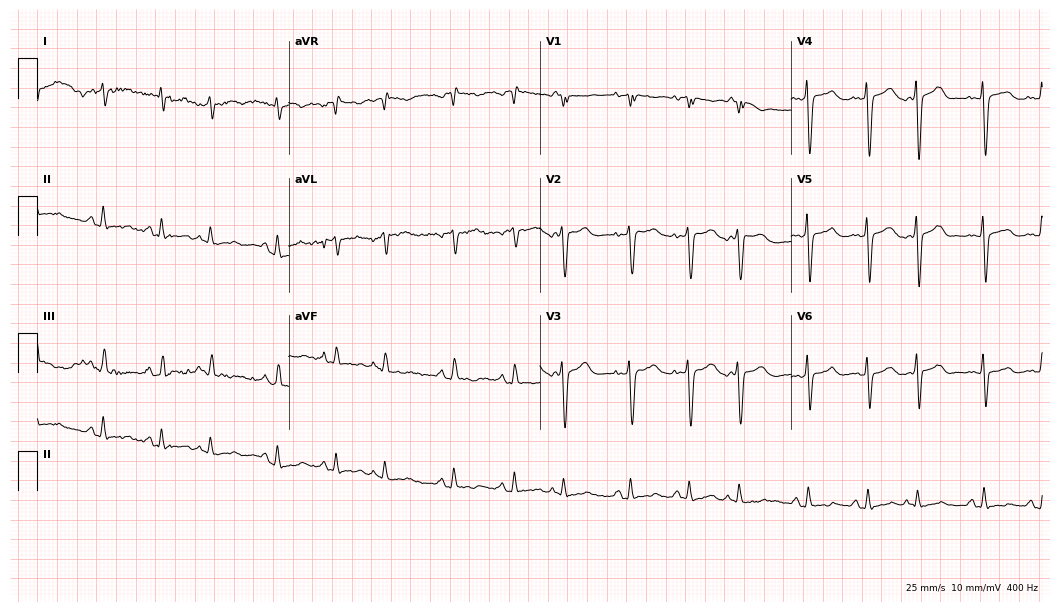
Resting 12-lead electrocardiogram. Patient: an 84-year-old female. None of these six findings is recorded: first-degree AV block, right bundle branch block (RBBB), left bundle branch block (LBBB), sinus bradycardia, atrial fibrillation (AF), sinus tachycardia. Only these six findings were labelled.